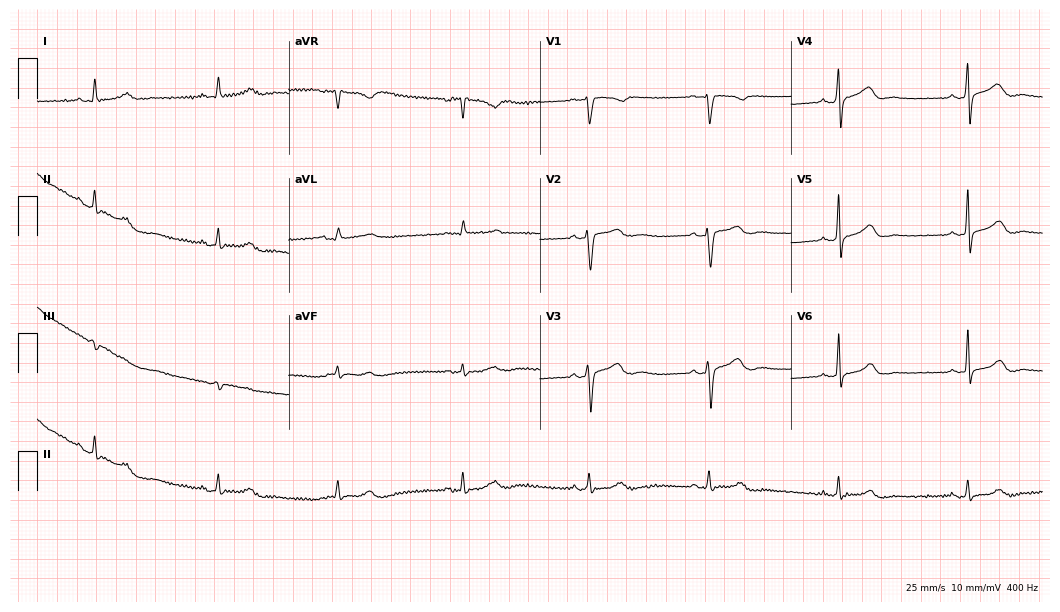
12-lead ECG from a female patient, 36 years old. No first-degree AV block, right bundle branch block, left bundle branch block, sinus bradycardia, atrial fibrillation or sinus tachycardia recorded for this tracing.